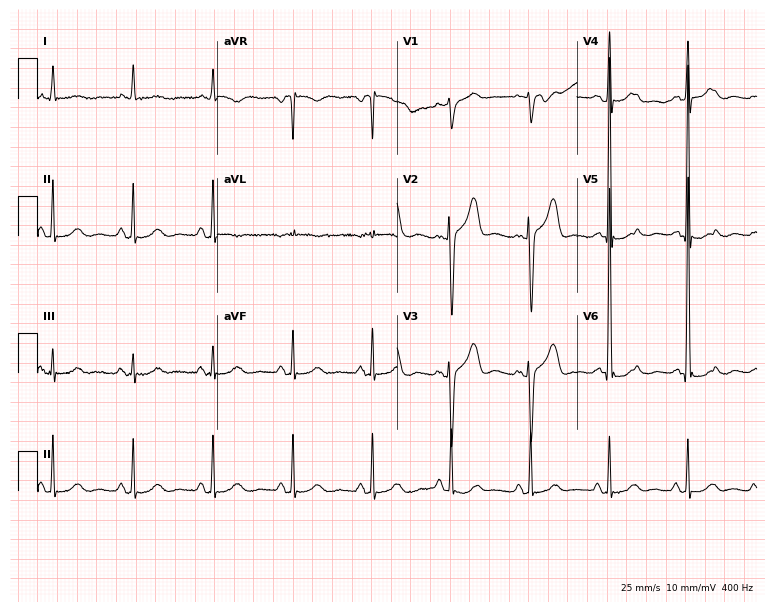
ECG — an 81-year-old female patient. Labelled as a normal ECG.